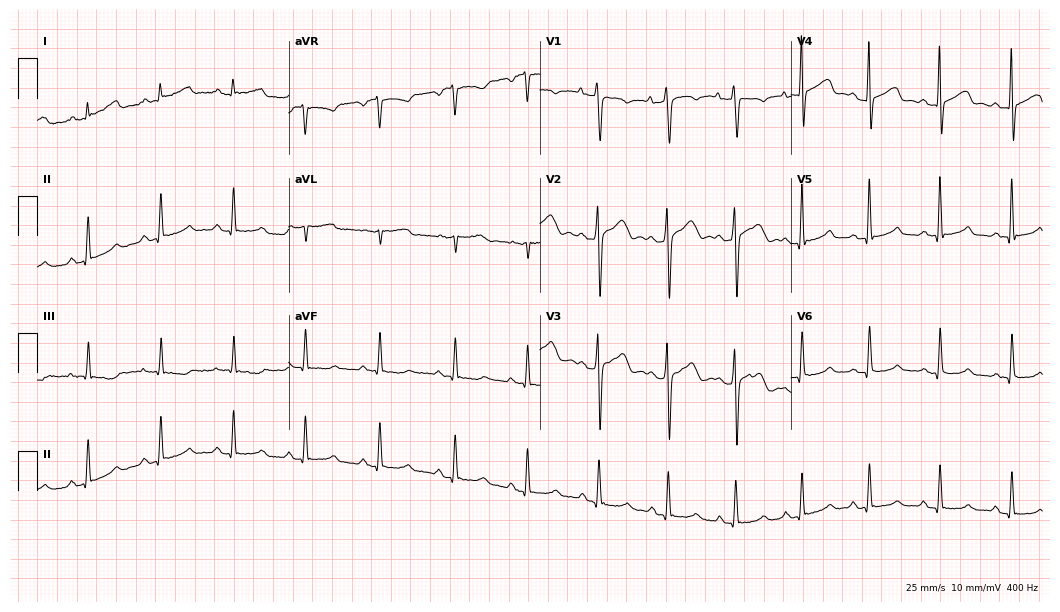
Resting 12-lead electrocardiogram. Patient: a male, 34 years old. Read as a normal ECG.